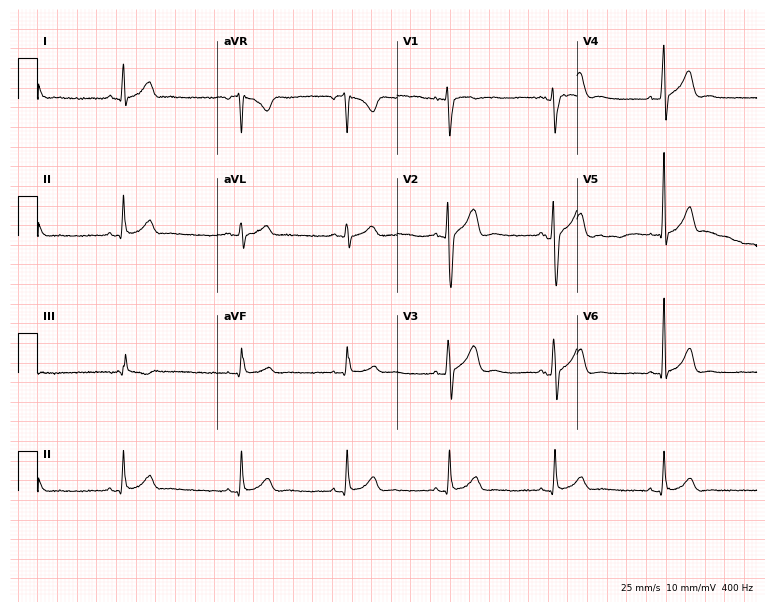
12-lead ECG from a man, 35 years old. No first-degree AV block, right bundle branch block, left bundle branch block, sinus bradycardia, atrial fibrillation or sinus tachycardia recorded for this tracing. Other findings, if any, are not listed.